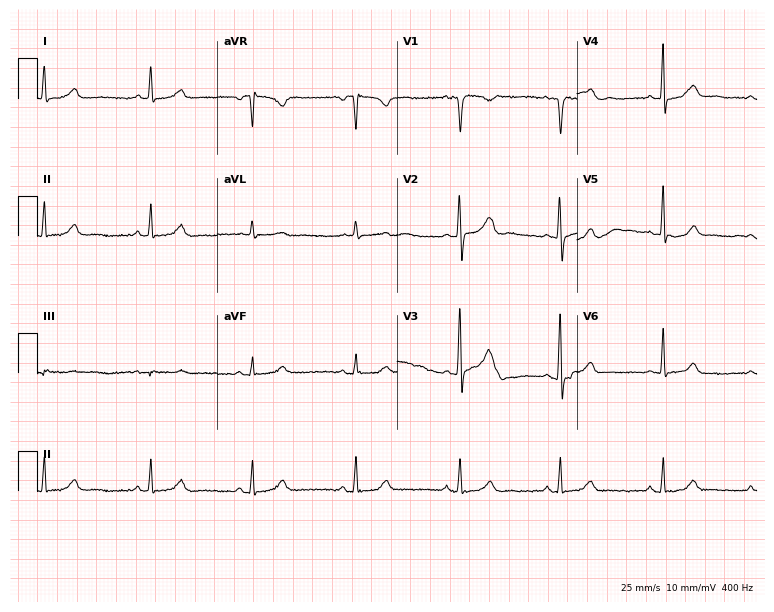
ECG (7.3-second recording at 400 Hz) — a 41-year-old female. Screened for six findings — first-degree AV block, right bundle branch block (RBBB), left bundle branch block (LBBB), sinus bradycardia, atrial fibrillation (AF), sinus tachycardia — none is recorded. Only these six findings were labelled.